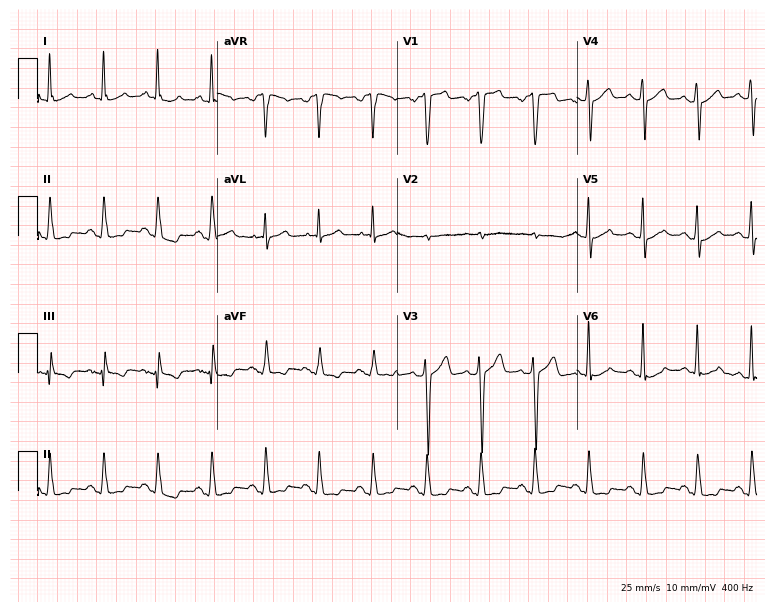
12-lead ECG from a 52-year-old man. Shows sinus tachycardia (a sinus rate of 100 beats per minute or more).